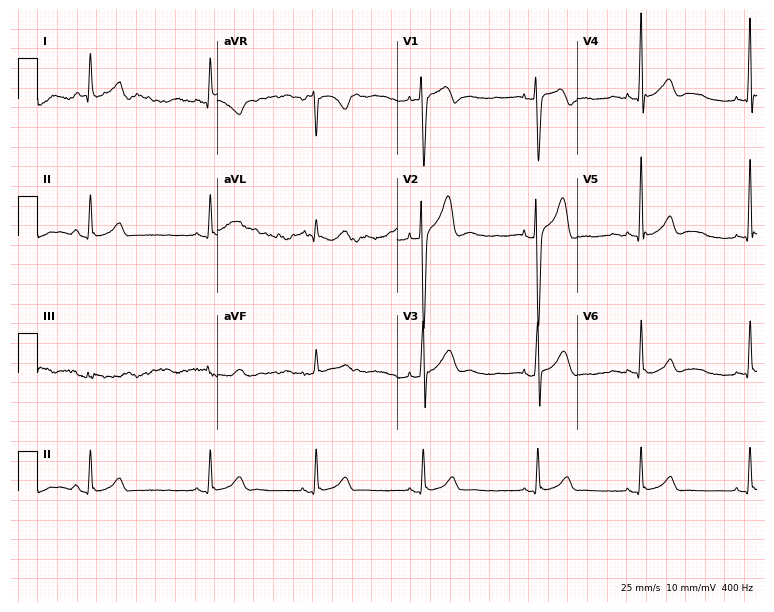
Standard 12-lead ECG recorded from a 24-year-old man. None of these six findings is recorded: first-degree AV block, right bundle branch block (RBBB), left bundle branch block (LBBB), sinus bradycardia, atrial fibrillation (AF), sinus tachycardia.